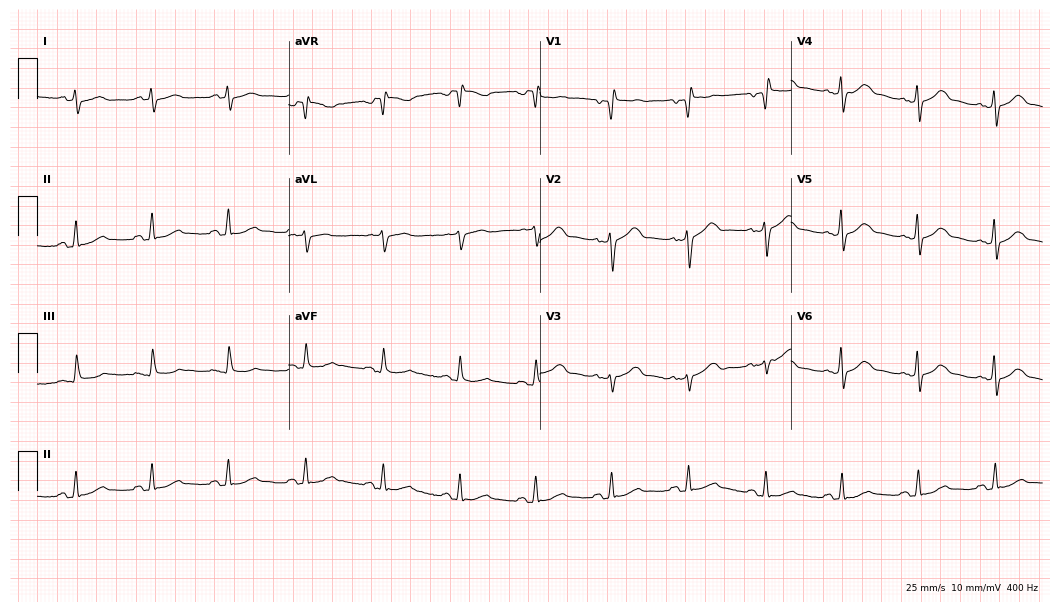
Resting 12-lead electrocardiogram (10.2-second recording at 400 Hz). Patient: a male, 58 years old. None of these six findings is recorded: first-degree AV block, right bundle branch block, left bundle branch block, sinus bradycardia, atrial fibrillation, sinus tachycardia. Only these six findings were labelled.